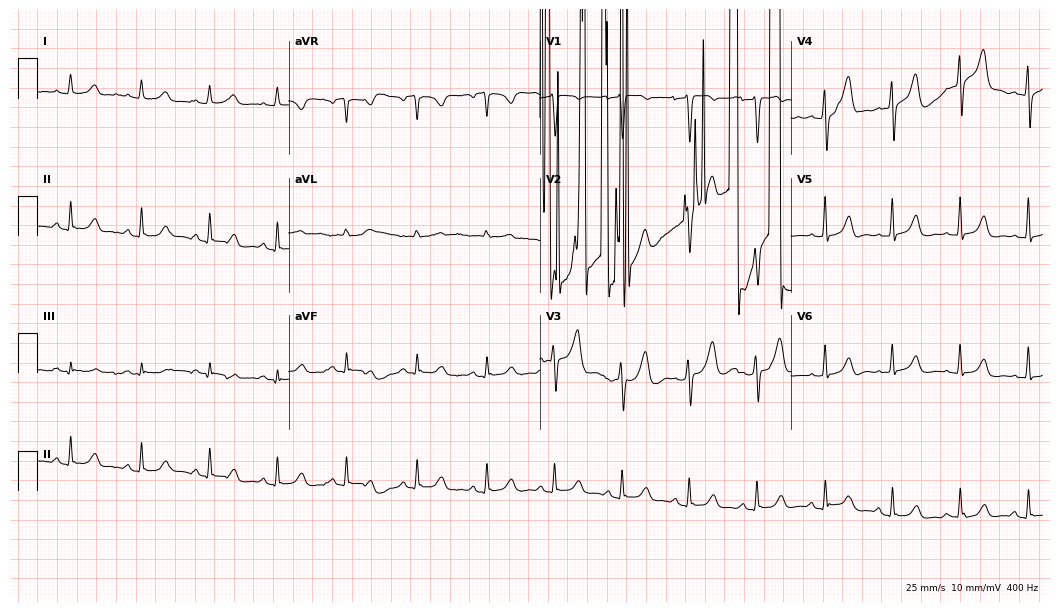
12-lead ECG from a 44-year-old woman. Screened for six findings — first-degree AV block, right bundle branch block (RBBB), left bundle branch block (LBBB), sinus bradycardia, atrial fibrillation (AF), sinus tachycardia — none is recorded. Other findings, if any, are not listed.